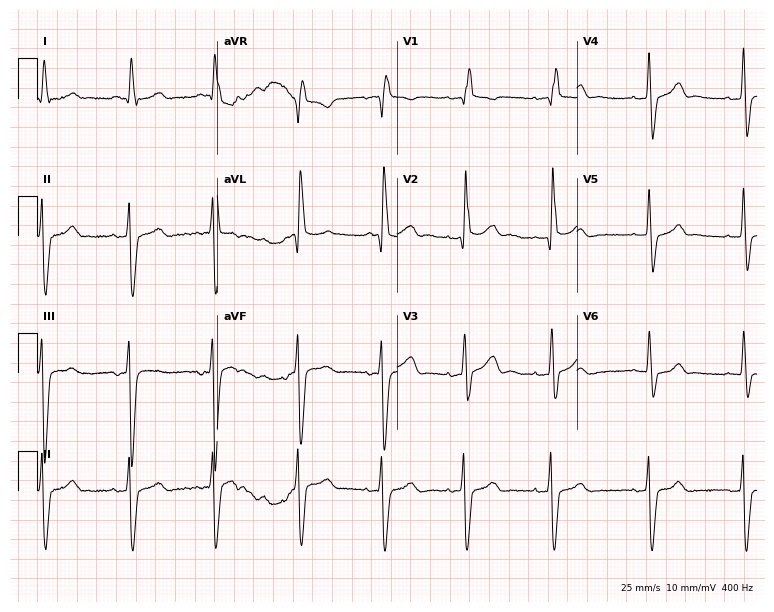
Standard 12-lead ECG recorded from a 77-year-old man. None of these six findings is recorded: first-degree AV block, right bundle branch block, left bundle branch block, sinus bradycardia, atrial fibrillation, sinus tachycardia.